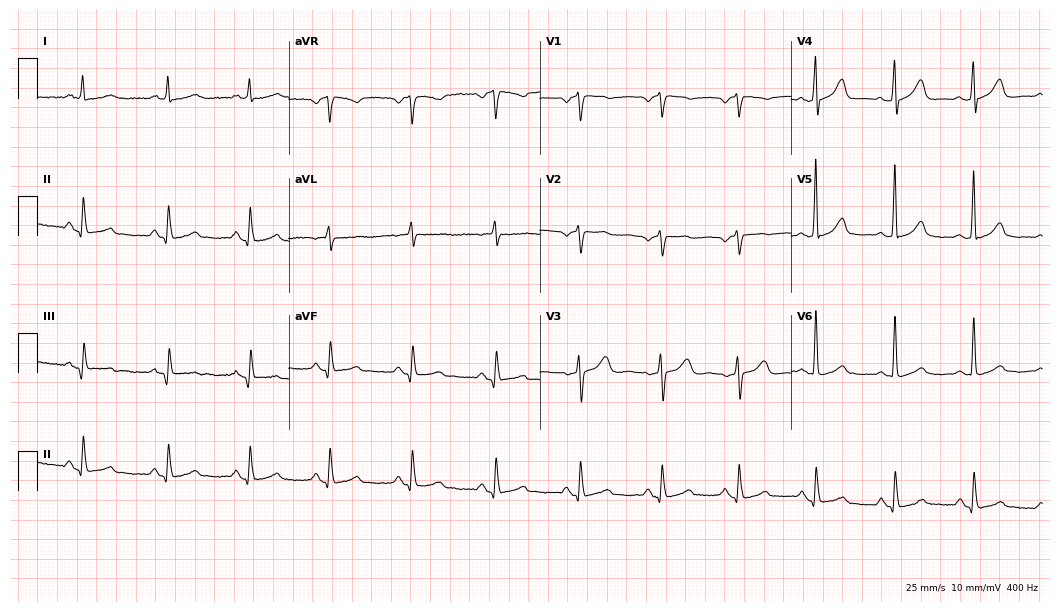
Standard 12-lead ECG recorded from a female patient, 66 years old. None of these six findings is recorded: first-degree AV block, right bundle branch block, left bundle branch block, sinus bradycardia, atrial fibrillation, sinus tachycardia.